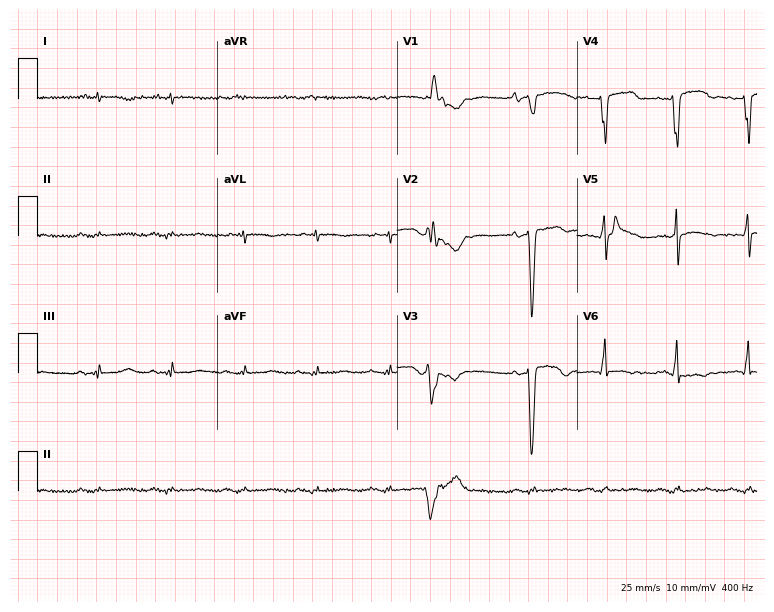
Resting 12-lead electrocardiogram (7.3-second recording at 400 Hz). Patient: a male, 40 years old. None of these six findings is recorded: first-degree AV block, right bundle branch block (RBBB), left bundle branch block (LBBB), sinus bradycardia, atrial fibrillation (AF), sinus tachycardia.